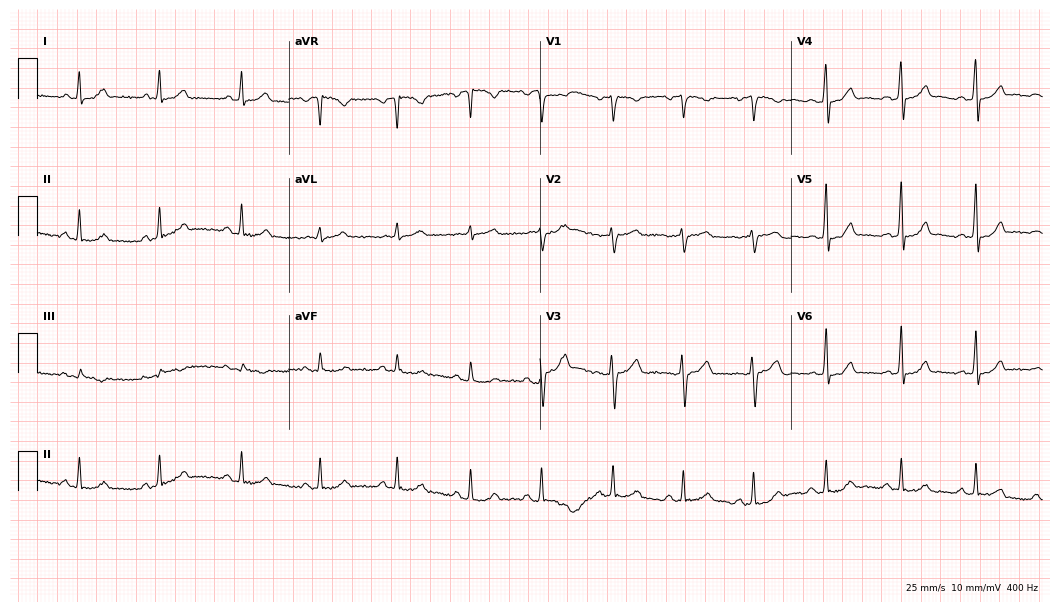
Standard 12-lead ECG recorded from a 38-year-old female patient. Read as a normal ECG.